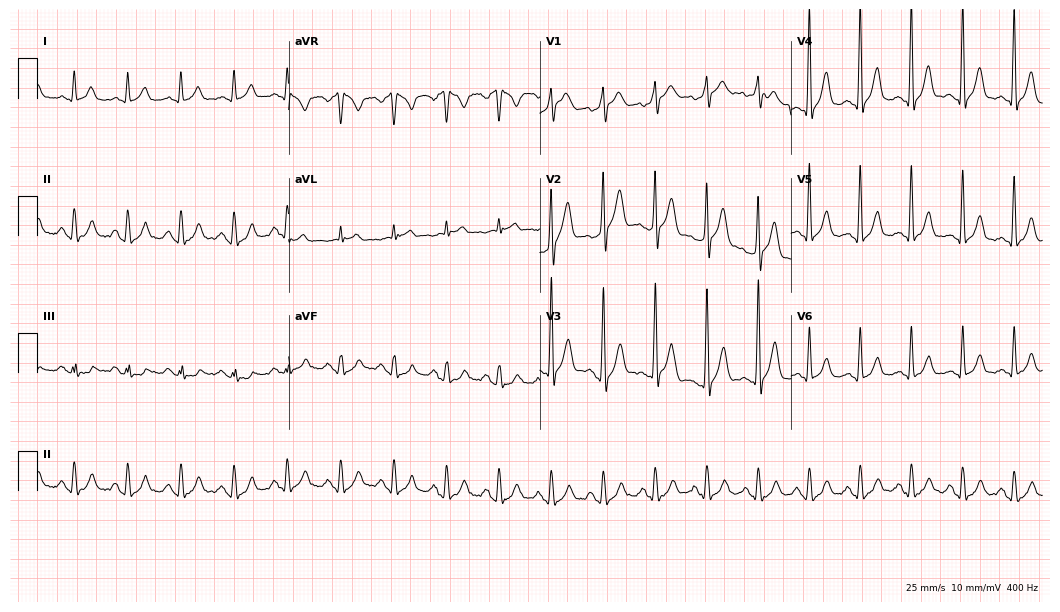
12-lead ECG from a male, 48 years old (10.2-second recording at 400 Hz). Shows sinus tachycardia (a sinus rate of 100 beats per minute or more).